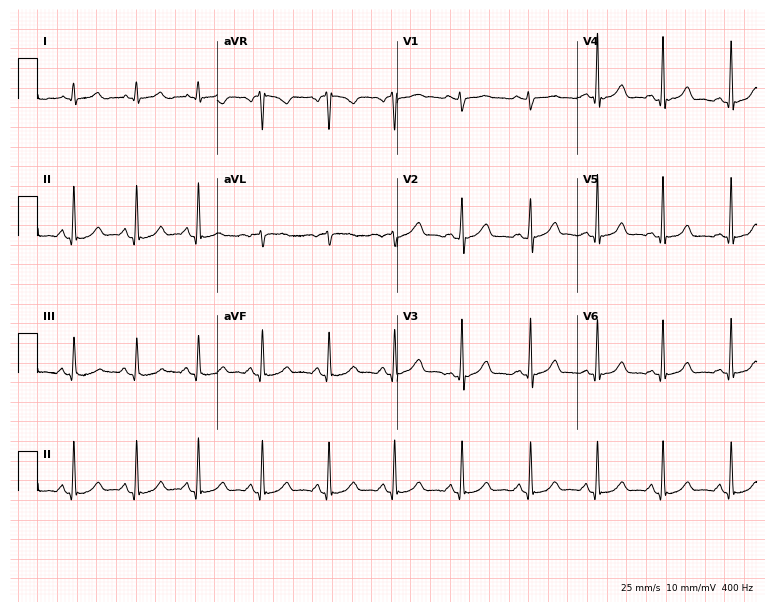
12-lead ECG from a 39-year-old woman. Labelled as a normal ECG.